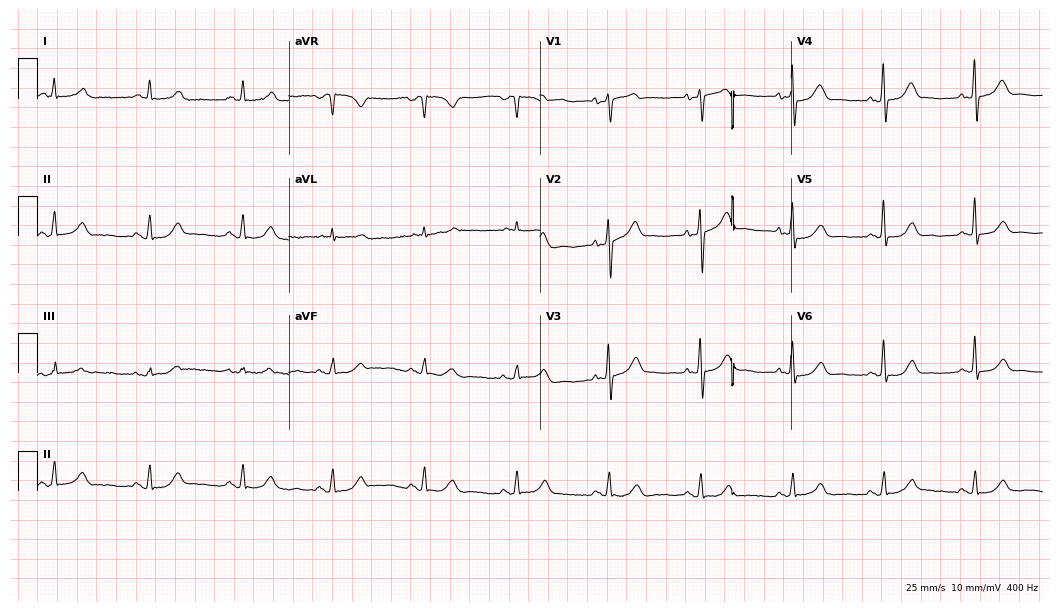
ECG — a 69-year-old woman. Screened for six findings — first-degree AV block, right bundle branch block (RBBB), left bundle branch block (LBBB), sinus bradycardia, atrial fibrillation (AF), sinus tachycardia — none is recorded.